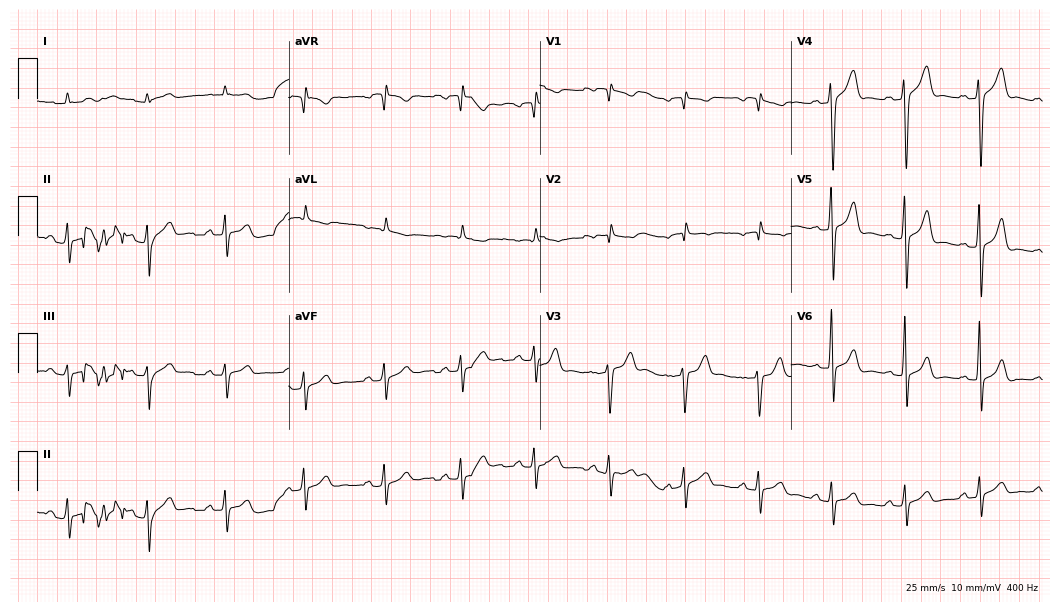
Resting 12-lead electrocardiogram (10.2-second recording at 400 Hz). Patient: a man, 35 years old. None of these six findings is recorded: first-degree AV block, right bundle branch block, left bundle branch block, sinus bradycardia, atrial fibrillation, sinus tachycardia.